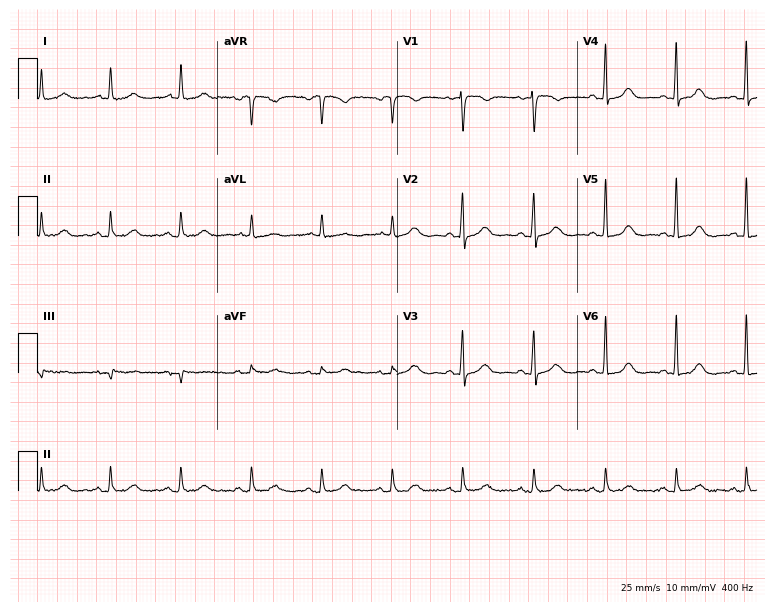
Standard 12-lead ECG recorded from an 82-year-old female patient. None of these six findings is recorded: first-degree AV block, right bundle branch block (RBBB), left bundle branch block (LBBB), sinus bradycardia, atrial fibrillation (AF), sinus tachycardia. Other findings, if any, are not listed.